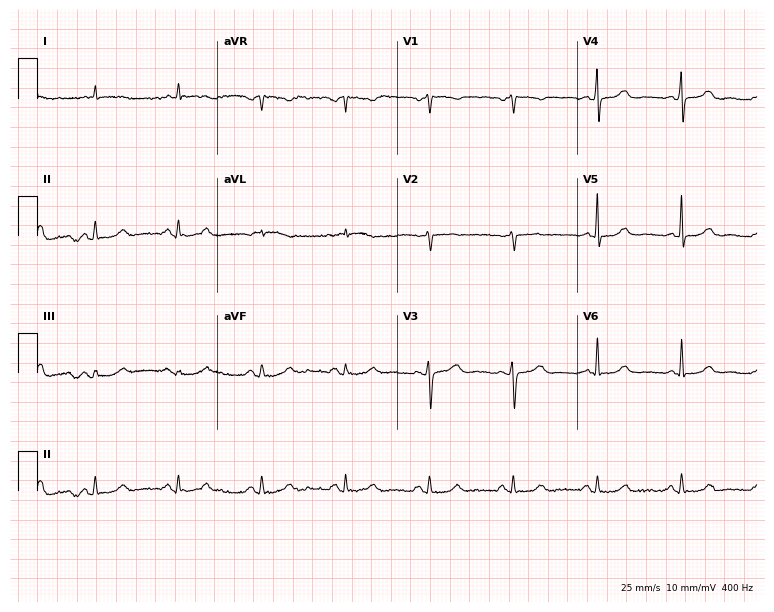
12-lead ECG from a 74-year-old male. No first-degree AV block, right bundle branch block, left bundle branch block, sinus bradycardia, atrial fibrillation or sinus tachycardia recorded for this tracing.